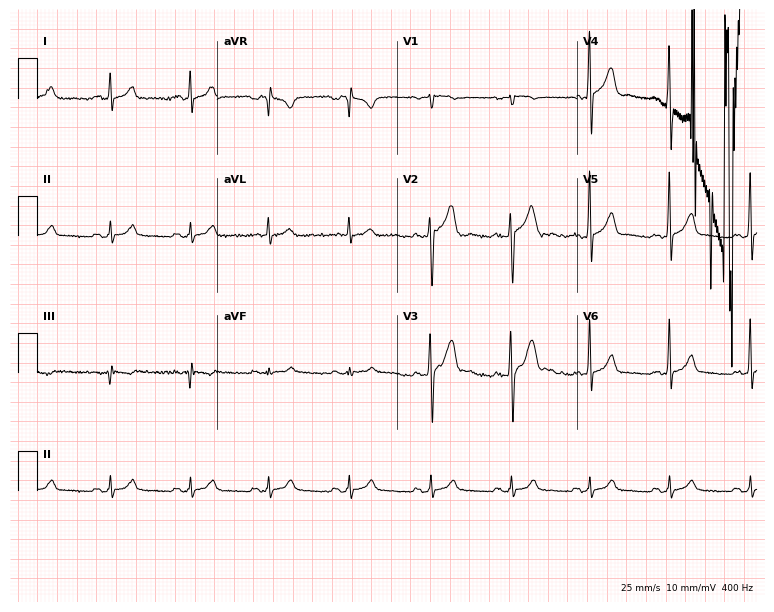
Resting 12-lead electrocardiogram. Patient: a 35-year-old male. Read as a normal ECG.